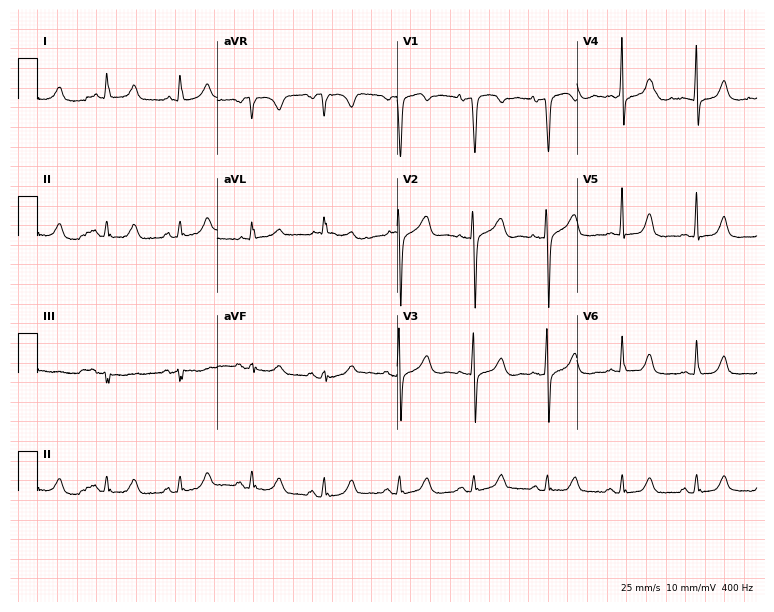
12-lead ECG from a woman, 67 years old (7.3-second recording at 400 Hz). No first-degree AV block, right bundle branch block, left bundle branch block, sinus bradycardia, atrial fibrillation or sinus tachycardia recorded for this tracing.